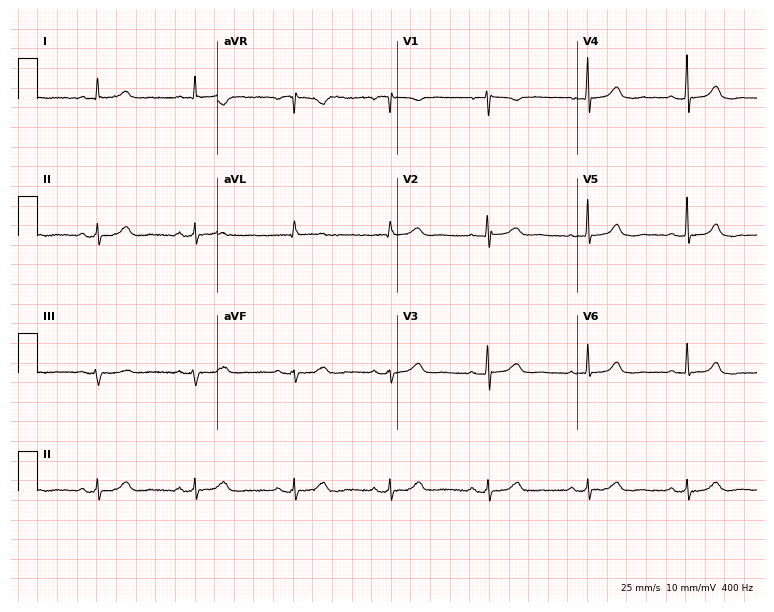
12-lead ECG from a woman, 56 years old. No first-degree AV block, right bundle branch block, left bundle branch block, sinus bradycardia, atrial fibrillation or sinus tachycardia recorded for this tracing.